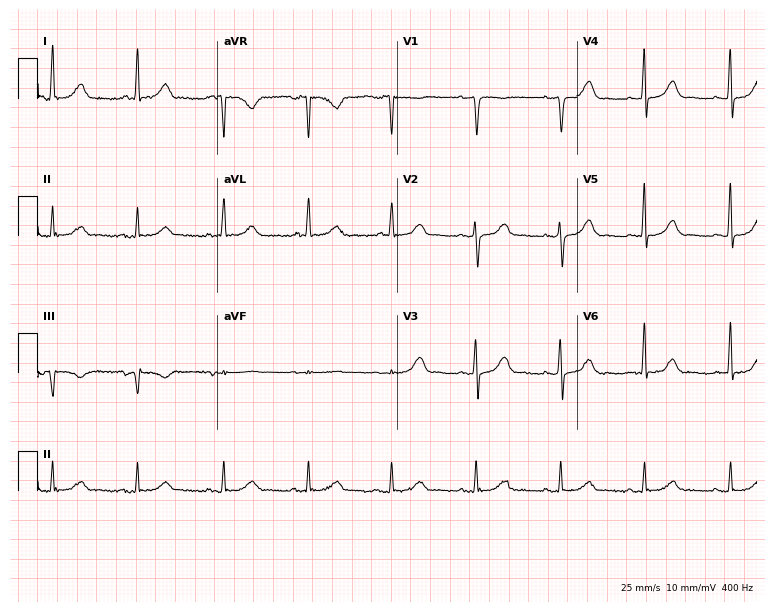
Resting 12-lead electrocardiogram. Patient: a female, 59 years old. None of these six findings is recorded: first-degree AV block, right bundle branch block, left bundle branch block, sinus bradycardia, atrial fibrillation, sinus tachycardia.